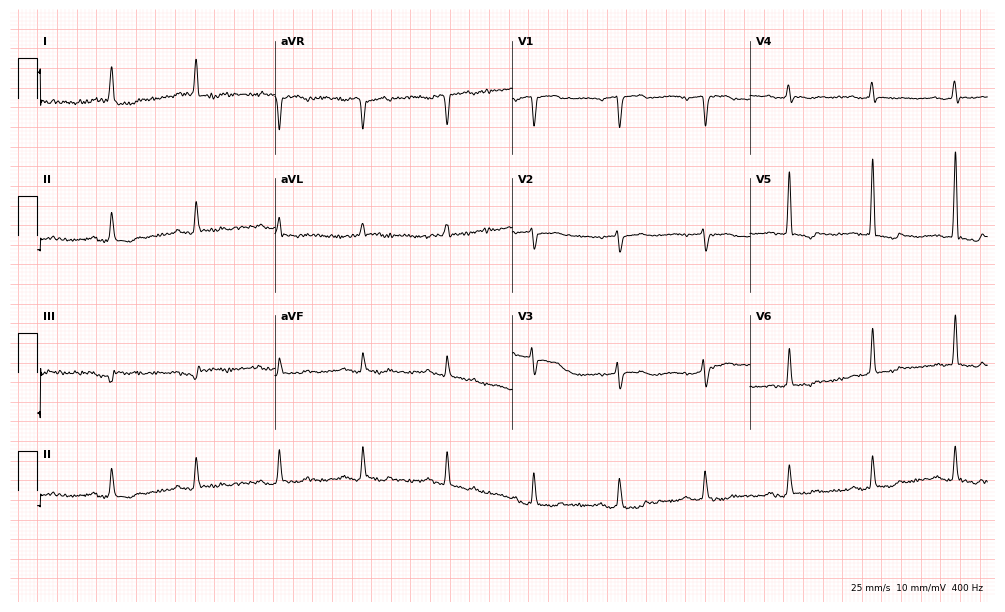
12-lead ECG from an 84-year-old woman. No first-degree AV block, right bundle branch block, left bundle branch block, sinus bradycardia, atrial fibrillation or sinus tachycardia recorded for this tracing. Findings outside these six are not listed.